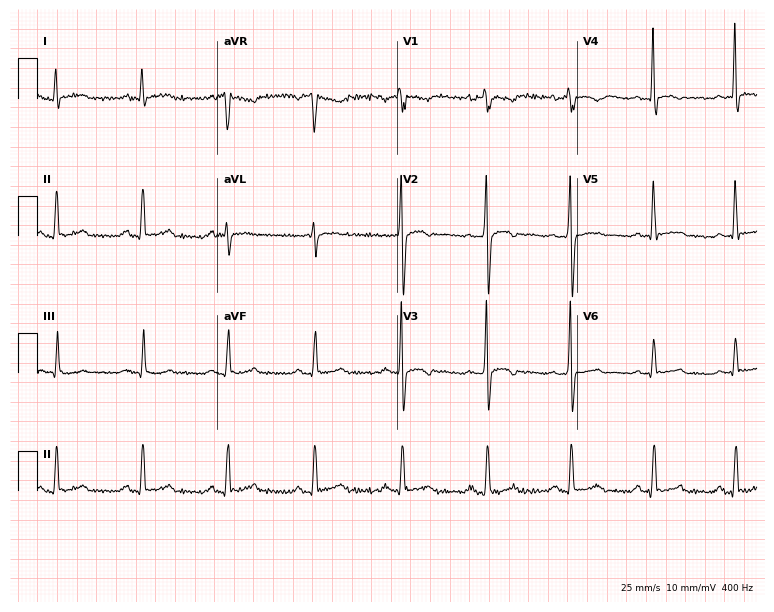
Electrocardiogram (7.3-second recording at 400 Hz), a male, 45 years old. Of the six screened findings (first-degree AV block, right bundle branch block (RBBB), left bundle branch block (LBBB), sinus bradycardia, atrial fibrillation (AF), sinus tachycardia), none is recorded.